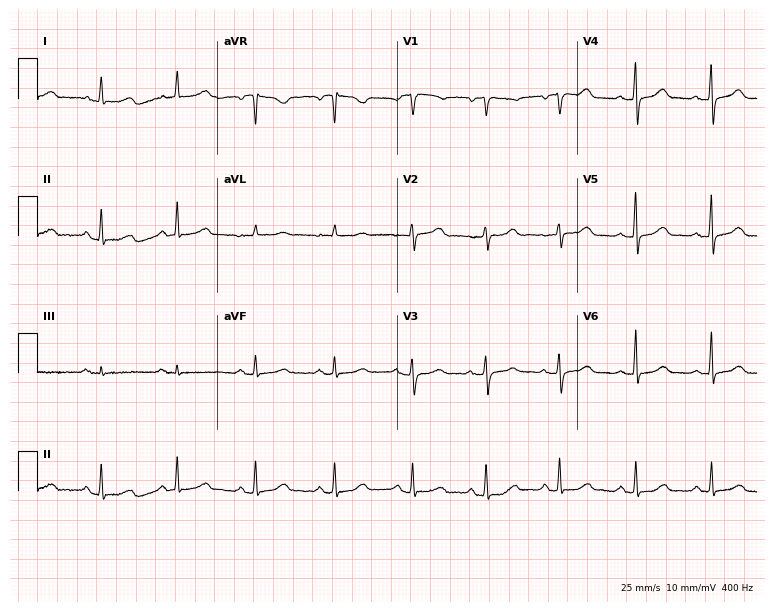
Electrocardiogram (7.3-second recording at 400 Hz), a 57-year-old female patient. Overall reading on record: normal ECG.